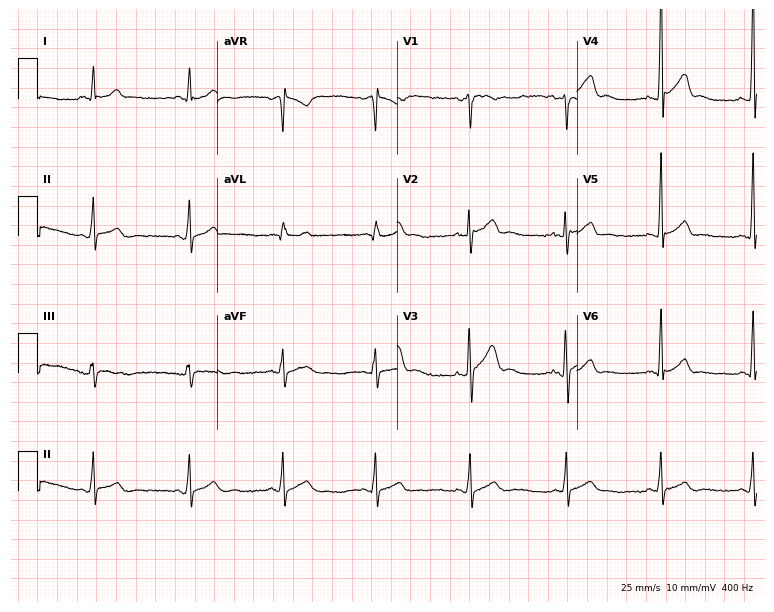
12-lead ECG (7.3-second recording at 400 Hz) from a 34-year-old male. Labelled as a normal ECG.